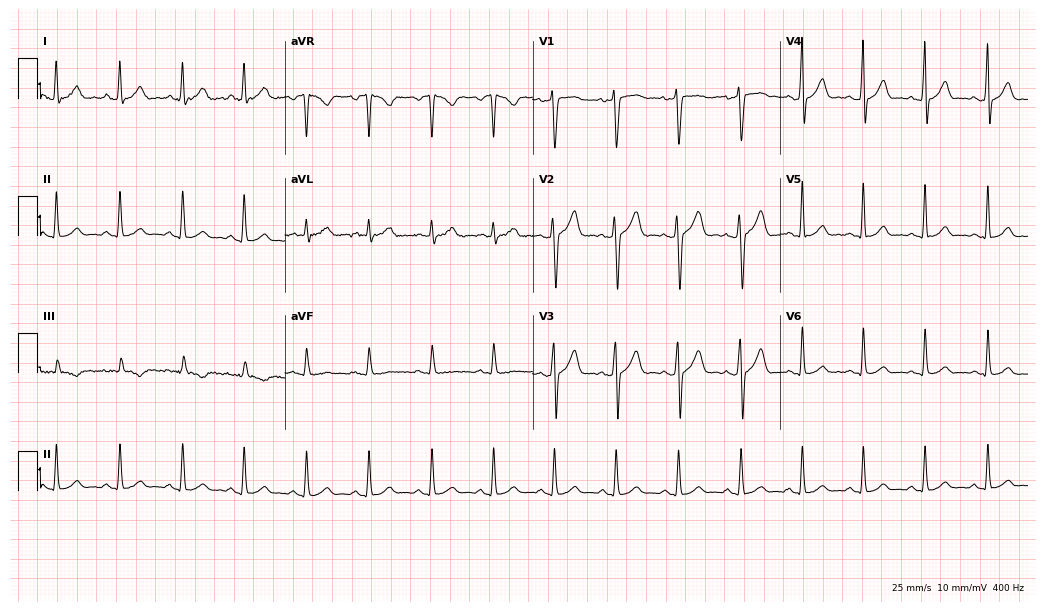
Standard 12-lead ECG recorded from a 25-year-old male patient. Read as a normal ECG.